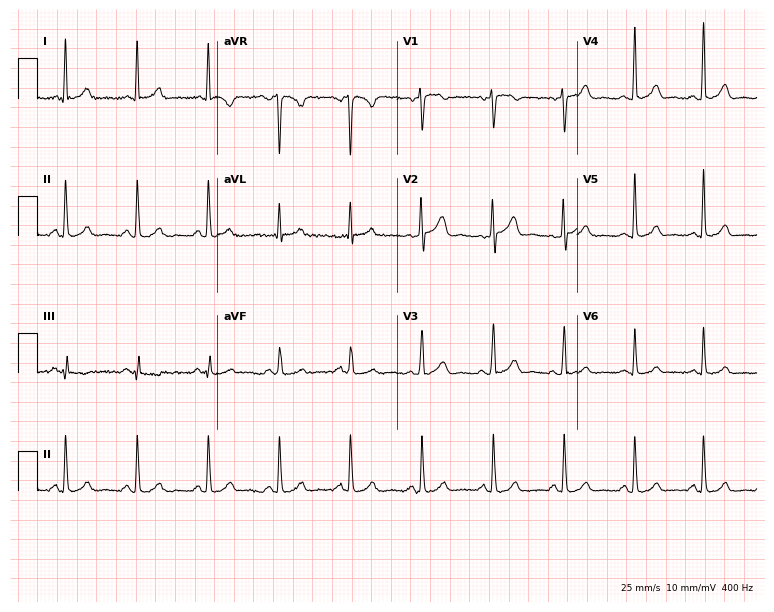
Electrocardiogram, a female, 63 years old. Overall reading on record: normal ECG.